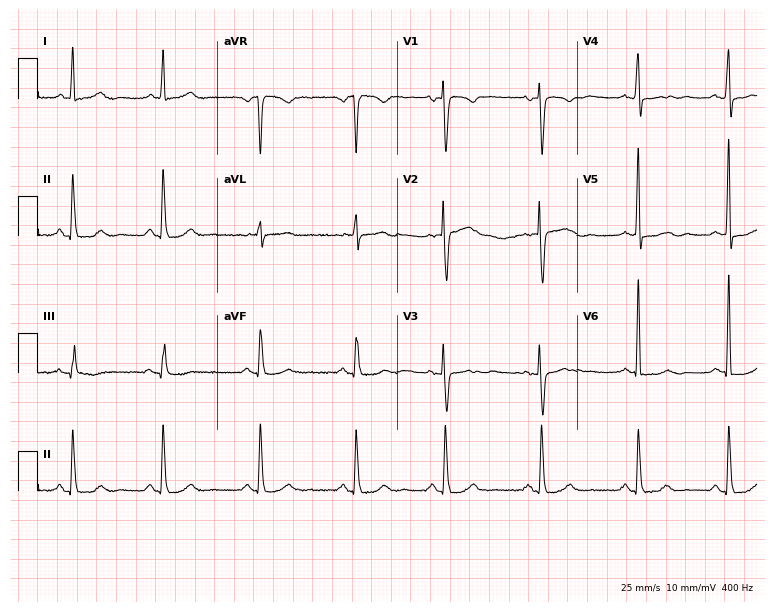
Standard 12-lead ECG recorded from a female patient, 70 years old (7.3-second recording at 400 Hz). None of these six findings is recorded: first-degree AV block, right bundle branch block, left bundle branch block, sinus bradycardia, atrial fibrillation, sinus tachycardia.